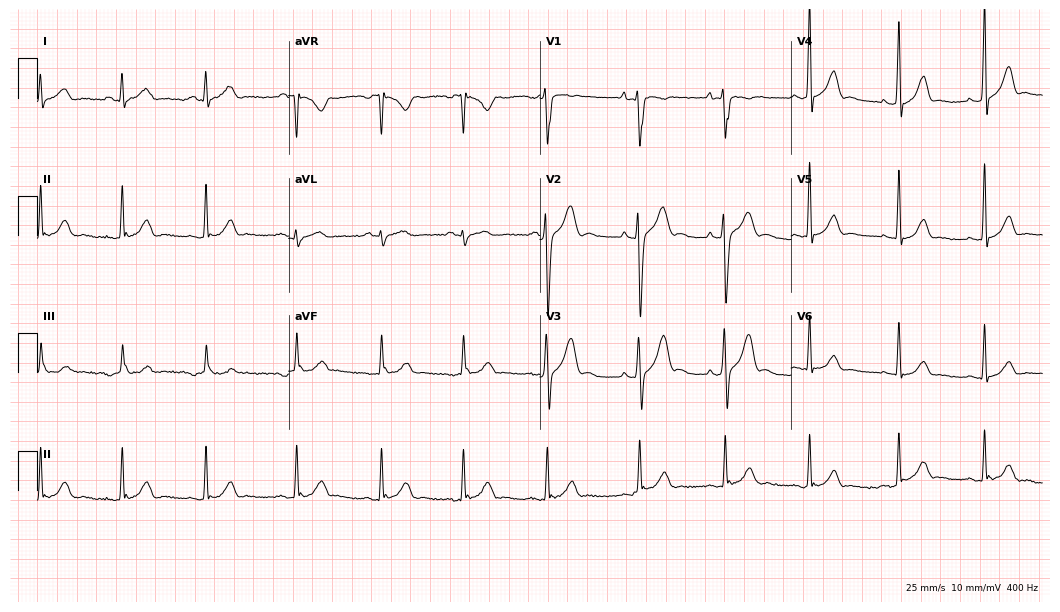
Electrocardiogram (10.2-second recording at 400 Hz), a male patient, 18 years old. Overall reading on record: normal ECG.